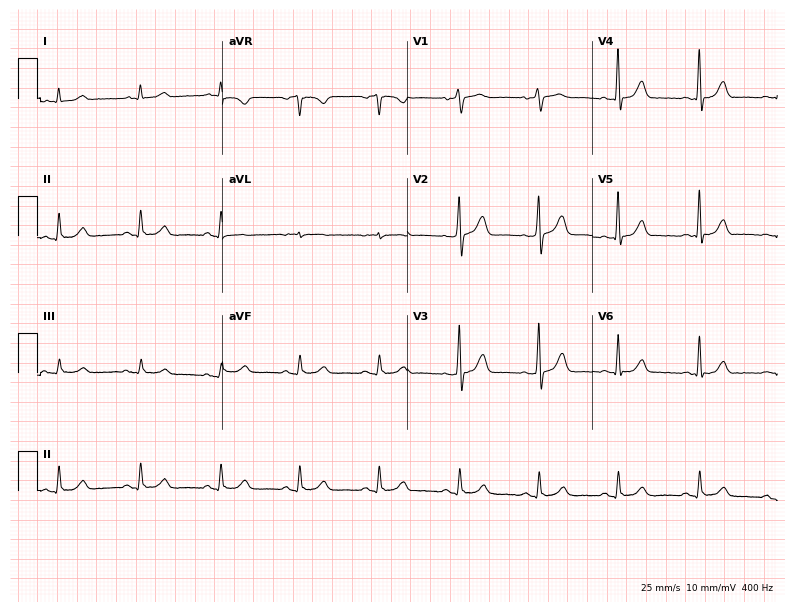
Resting 12-lead electrocardiogram. Patient: a male, 64 years old. Read as a normal ECG.